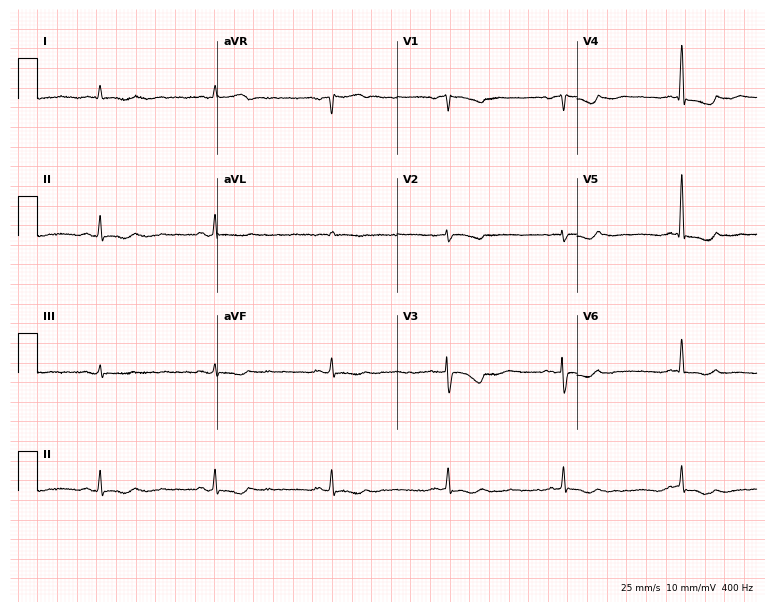
Electrocardiogram, a 71-year-old male patient. Of the six screened findings (first-degree AV block, right bundle branch block, left bundle branch block, sinus bradycardia, atrial fibrillation, sinus tachycardia), none is recorded. Findings outside these six are not listed.